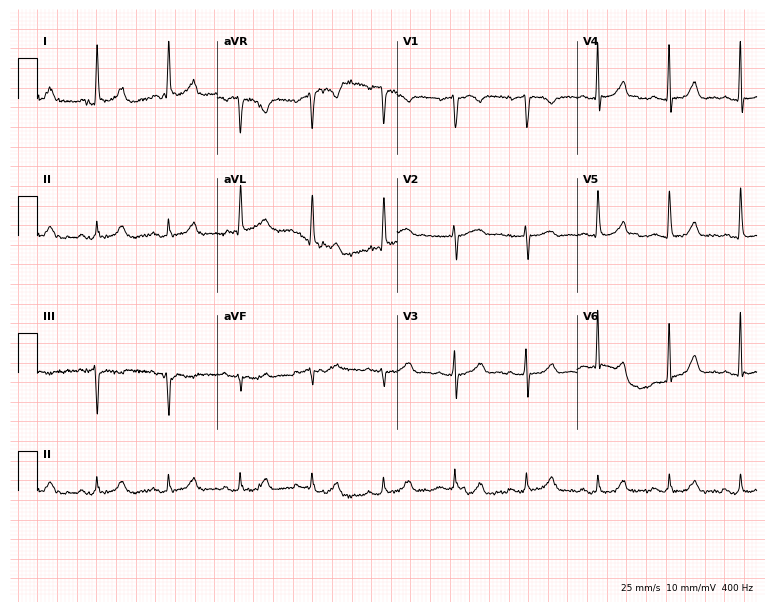
ECG — a woman, 77 years old. Labelled as a normal ECG.